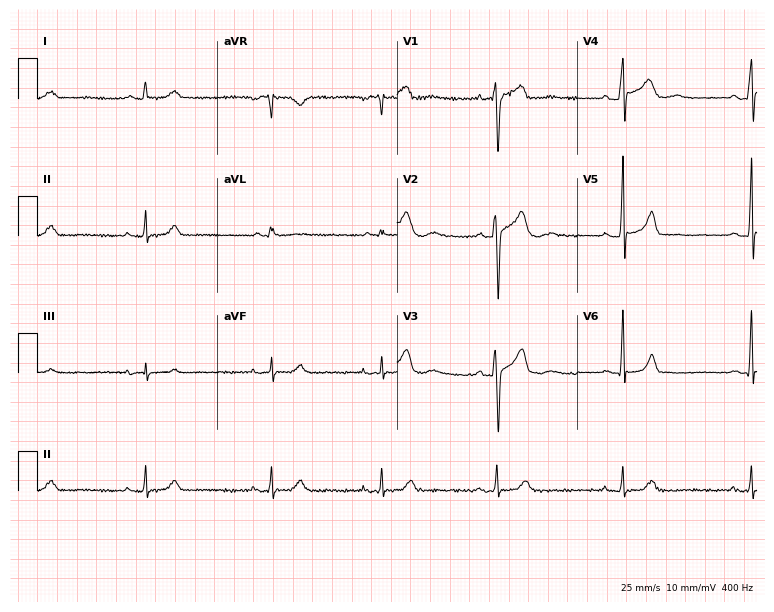
Standard 12-lead ECG recorded from a 31-year-old male patient (7.3-second recording at 400 Hz). Read as a normal ECG.